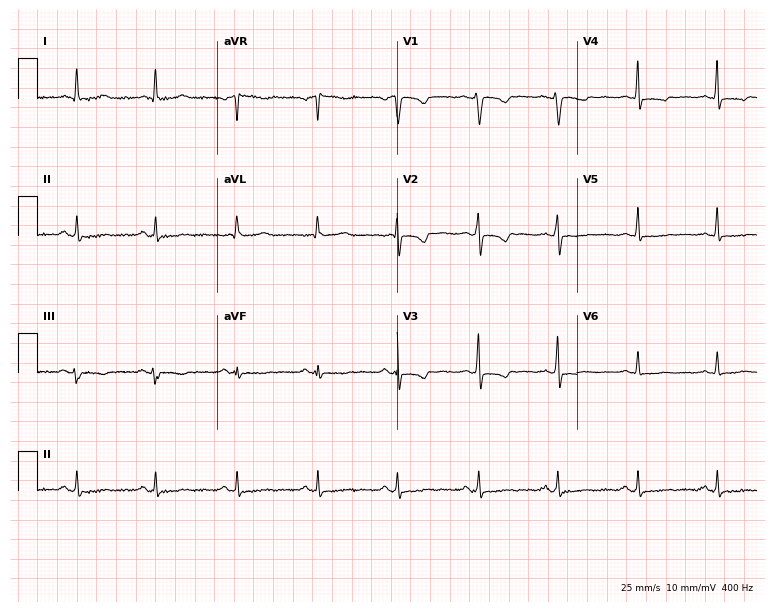
ECG (7.3-second recording at 400 Hz) — a 48-year-old female patient. Screened for six findings — first-degree AV block, right bundle branch block (RBBB), left bundle branch block (LBBB), sinus bradycardia, atrial fibrillation (AF), sinus tachycardia — none is recorded. Other findings, if any, are not listed.